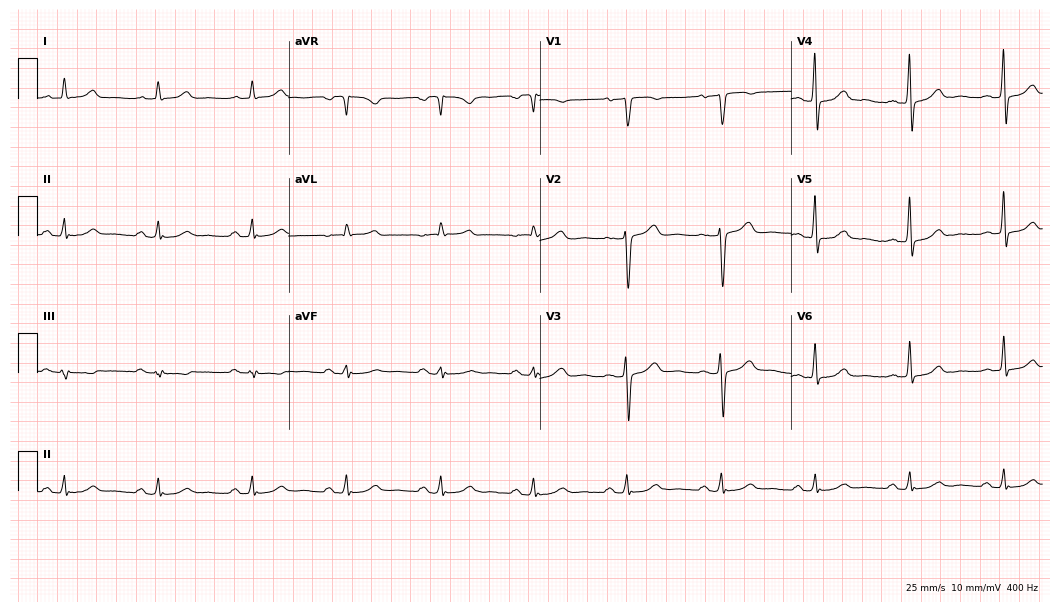
12-lead ECG from a woman, 54 years old. No first-degree AV block, right bundle branch block (RBBB), left bundle branch block (LBBB), sinus bradycardia, atrial fibrillation (AF) or sinus tachycardia recorded for this tracing.